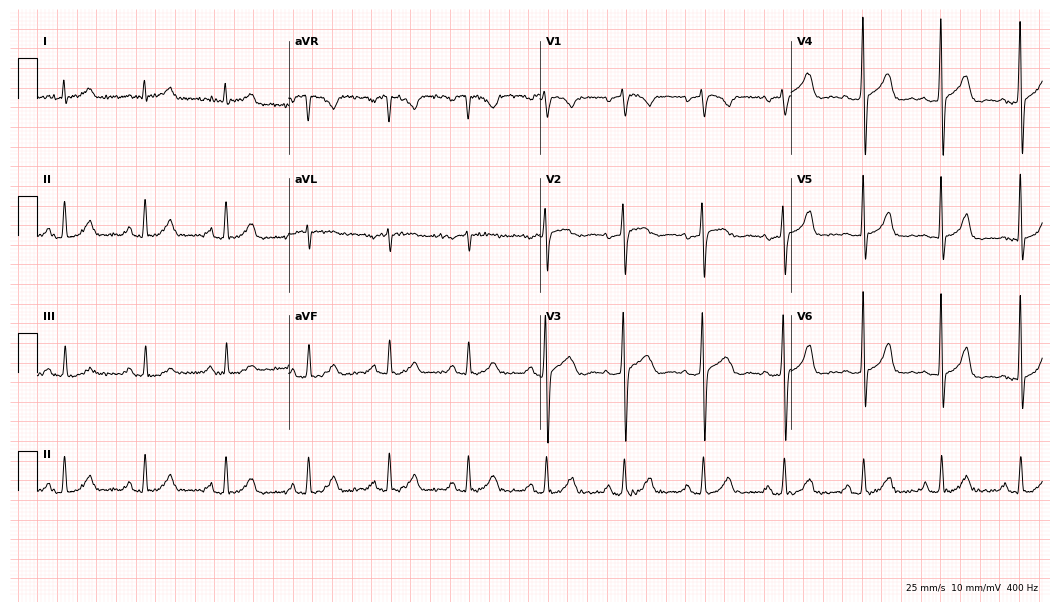
Standard 12-lead ECG recorded from a man, 62 years old (10.2-second recording at 400 Hz). Read as a normal ECG.